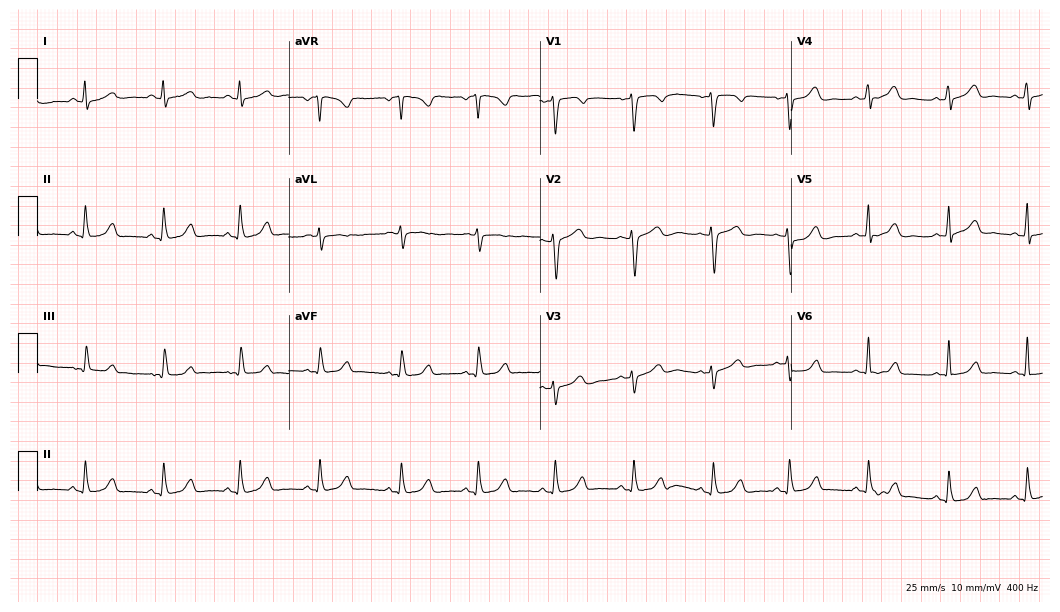
Standard 12-lead ECG recorded from a 35-year-old female patient. Read as a normal ECG.